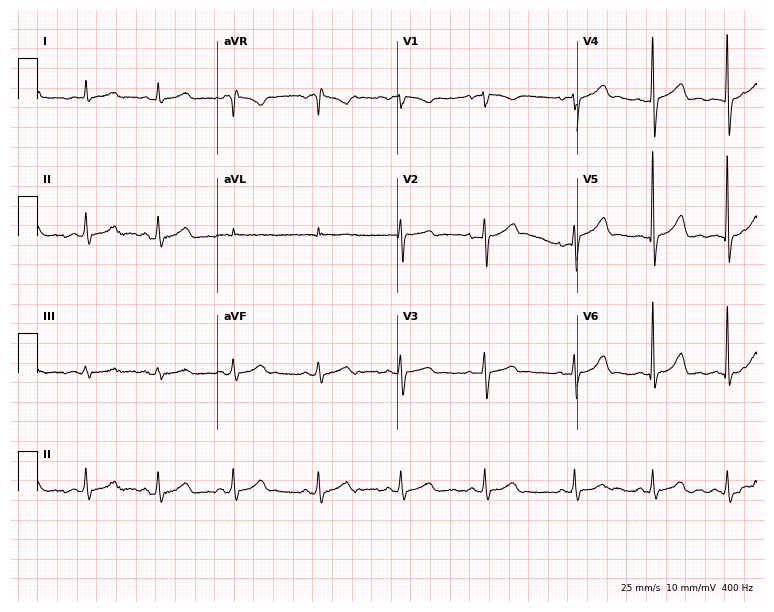
Electrocardiogram, a 29-year-old woman. Overall reading on record: normal ECG.